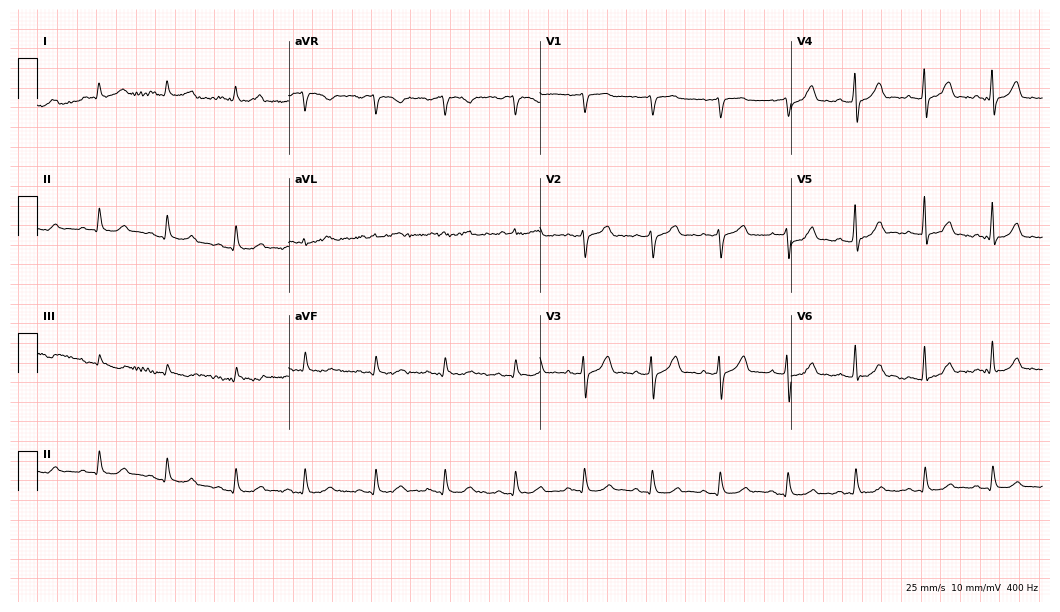
12-lead ECG from a 68-year-old man. Labelled as a normal ECG.